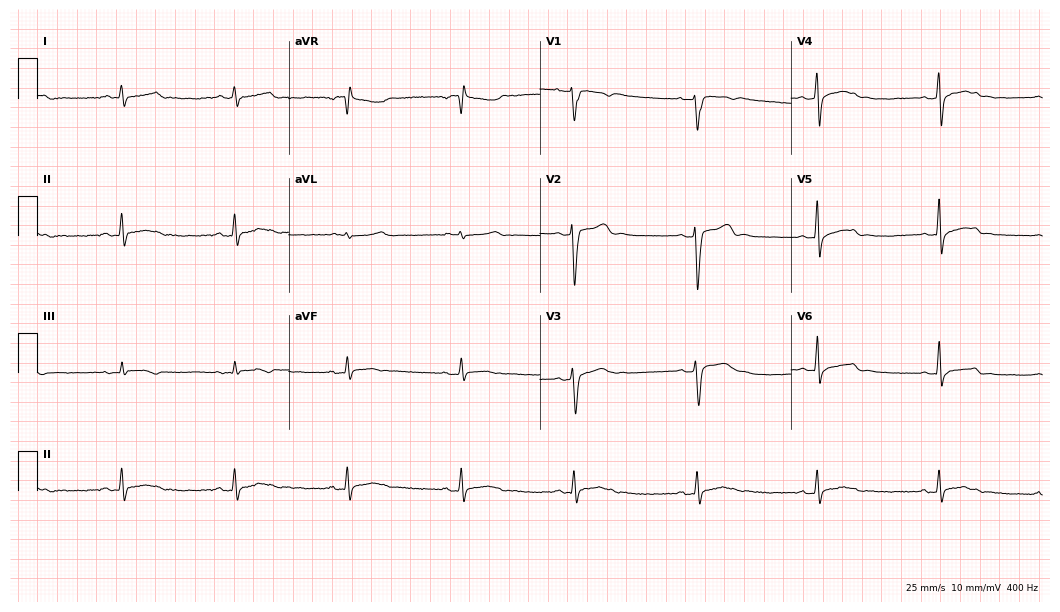
Resting 12-lead electrocardiogram. Patient: a man, 21 years old. None of these six findings is recorded: first-degree AV block, right bundle branch block (RBBB), left bundle branch block (LBBB), sinus bradycardia, atrial fibrillation (AF), sinus tachycardia.